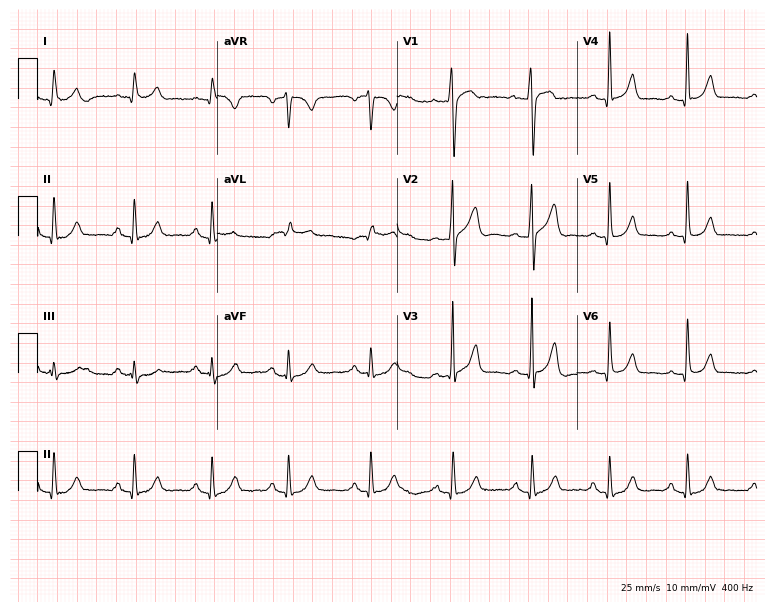
Standard 12-lead ECG recorded from a 34-year-old man. None of these six findings is recorded: first-degree AV block, right bundle branch block (RBBB), left bundle branch block (LBBB), sinus bradycardia, atrial fibrillation (AF), sinus tachycardia.